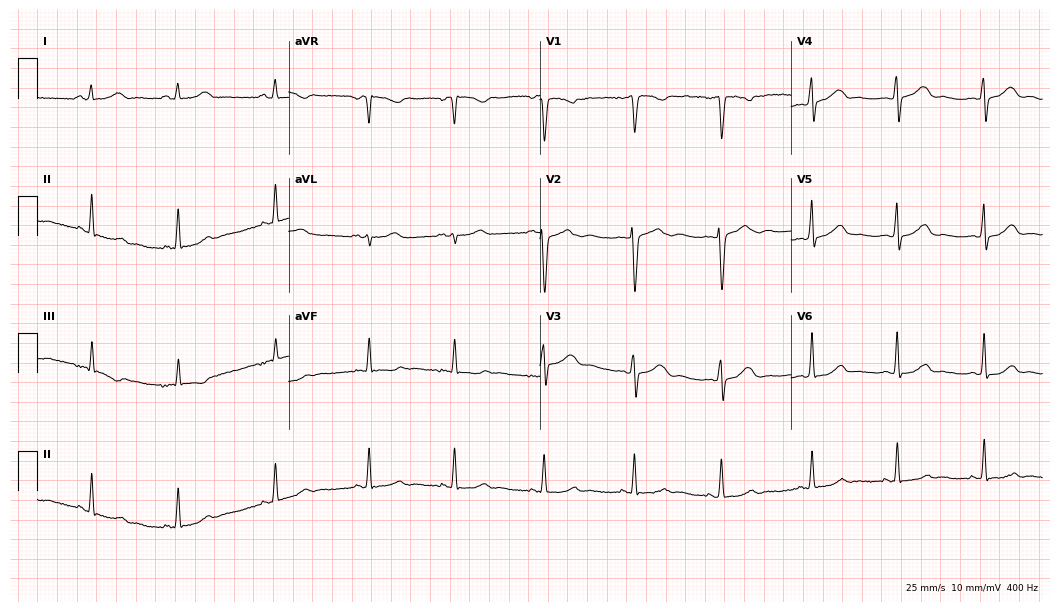
ECG (10.2-second recording at 400 Hz) — a male patient, 34 years old. Labelled as a normal ECG.